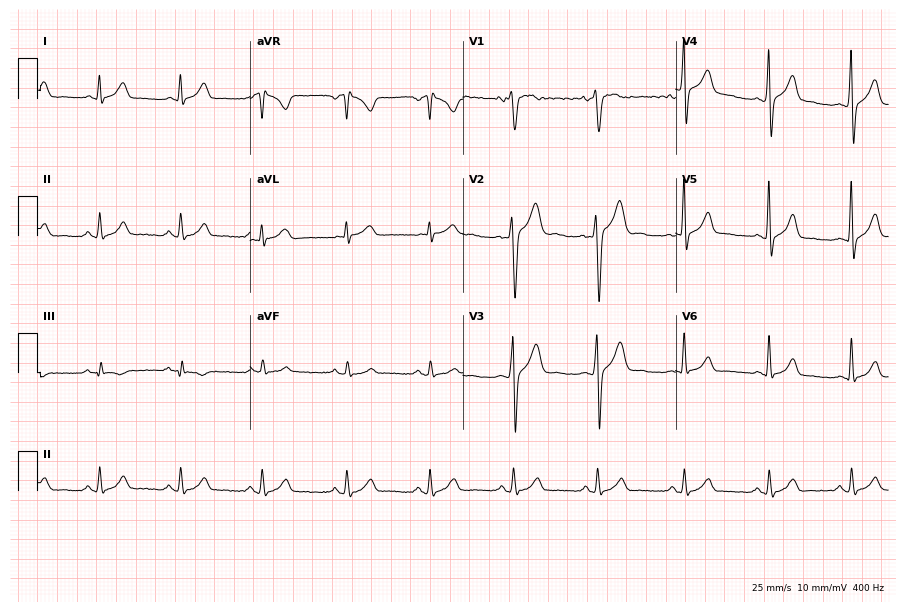
12-lead ECG from a man, 25 years old. Recorded interpretation: within normal limits.